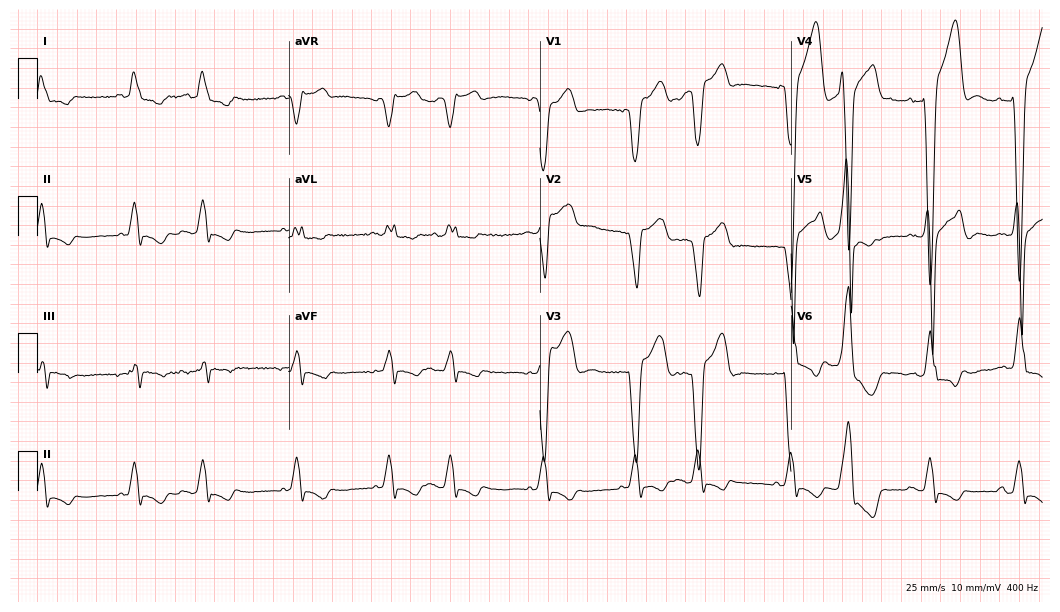
Resting 12-lead electrocardiogram. Patient: a male, 70 years old. The tracing shows left bundle branch block.